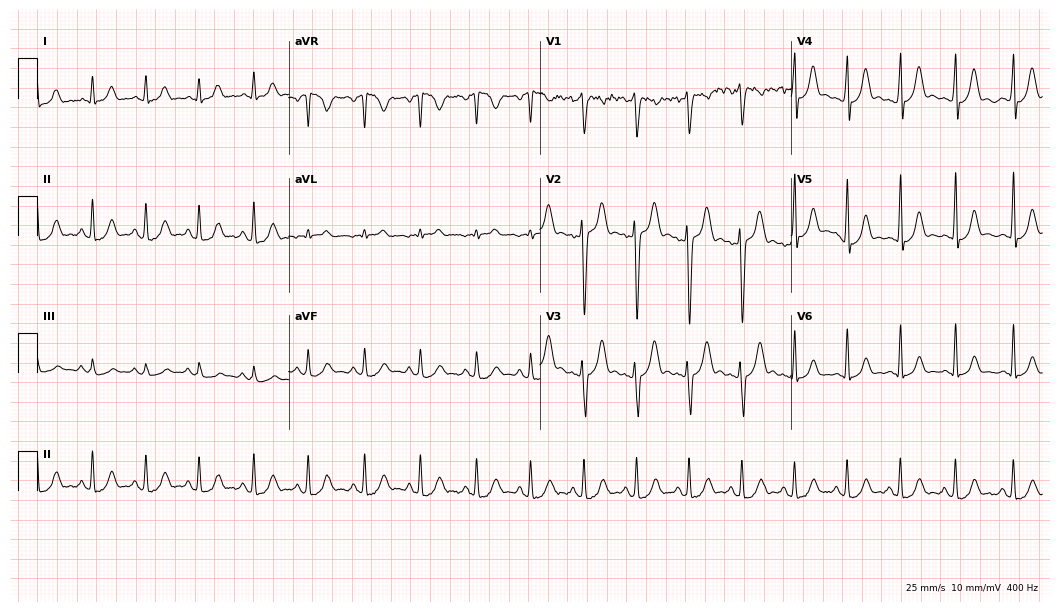
12-lead ECG from a 17-year-old man. Findings include sinus tachycardia (a sinus rate of 100 beats per minute or more).